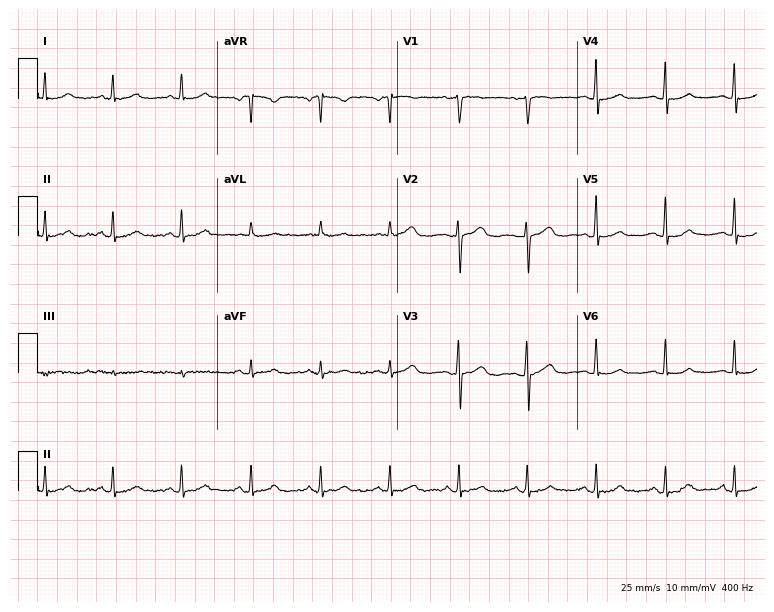
Electrocardiogram (7.3-second recording at 400 Hz), a female patient, 47 years old. Of the six screened findings (first-degree AV block, right bundle branch block, left bundle branch block, sinus bradycardia, atrial fibrillation, sinus tachycardia), none is recorded.